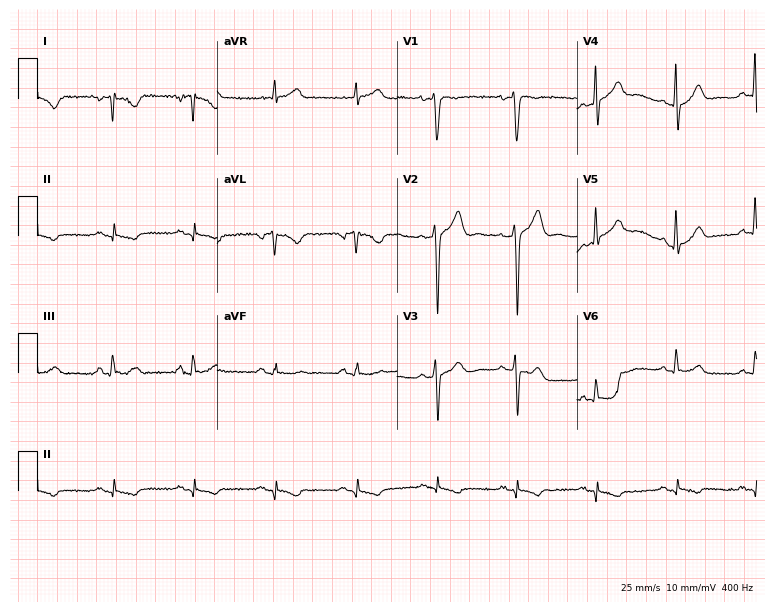
Resting 12-lead electrocardiogram (7.3-second recording at 400 Hz). Patient: a 61-year-old man. None of these six findings is recorded: first-degree AV block, right bundle branch block (RBBB), left bundle branch block (LBBB), sinus bradycardia, atrial fibrillation (AF), sinus tachycardia. Only these six findings were labelled.